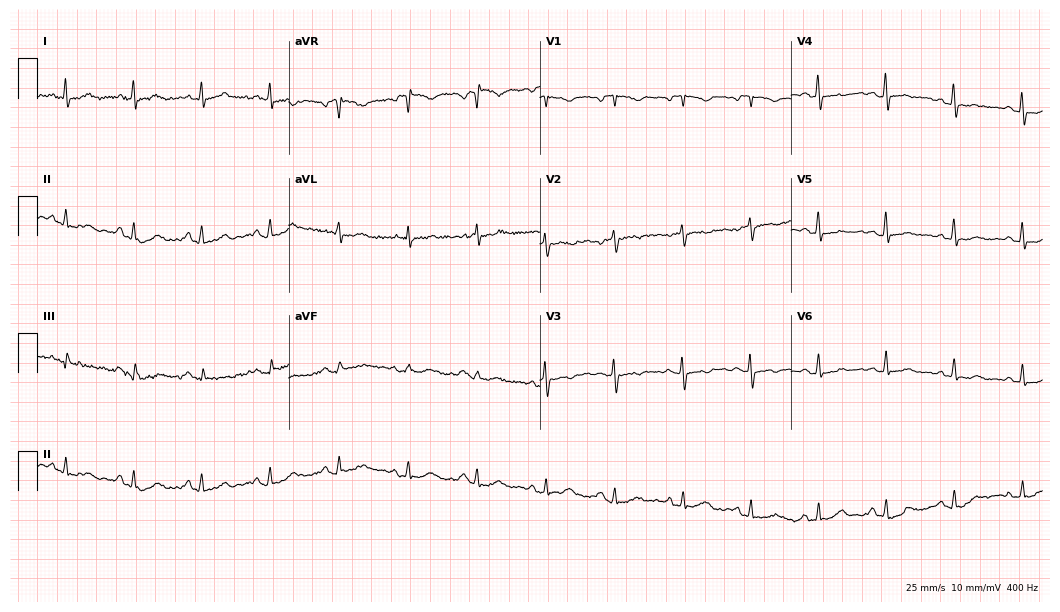
ECG — a 66-year-old woman. Screened for six findings — first-degree AV block, right bundle branch block, left bundle branch block, sinus bradycardia, atrial fibrillation, sinus tachycardia — none is recorded. Findings outside these six are not listed.